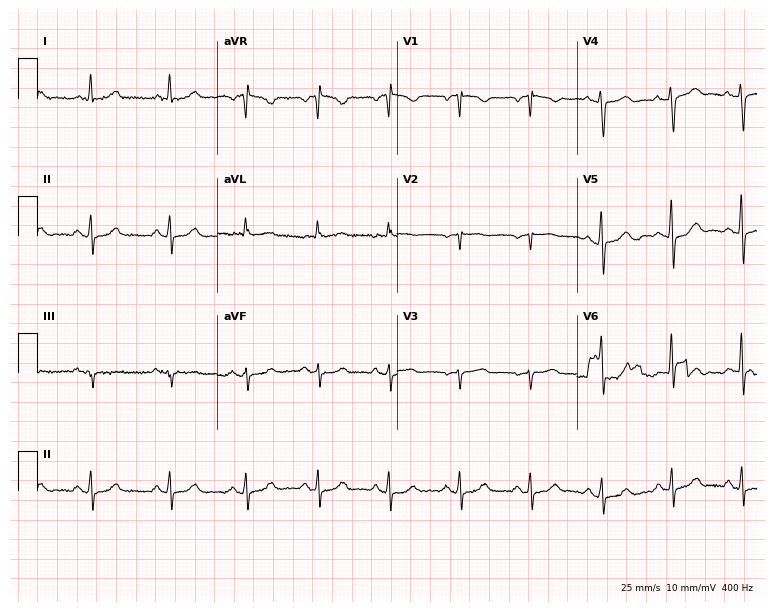
Standard 12-lead ECG recorded from a 72-year-old female. None of these six findings is recorded: first-degree AV block, right bundle branch block, left bundle branch block, sinus bradycardia, atrial fibrillation, sinus tachycardia. Findings outside these six are not listed.